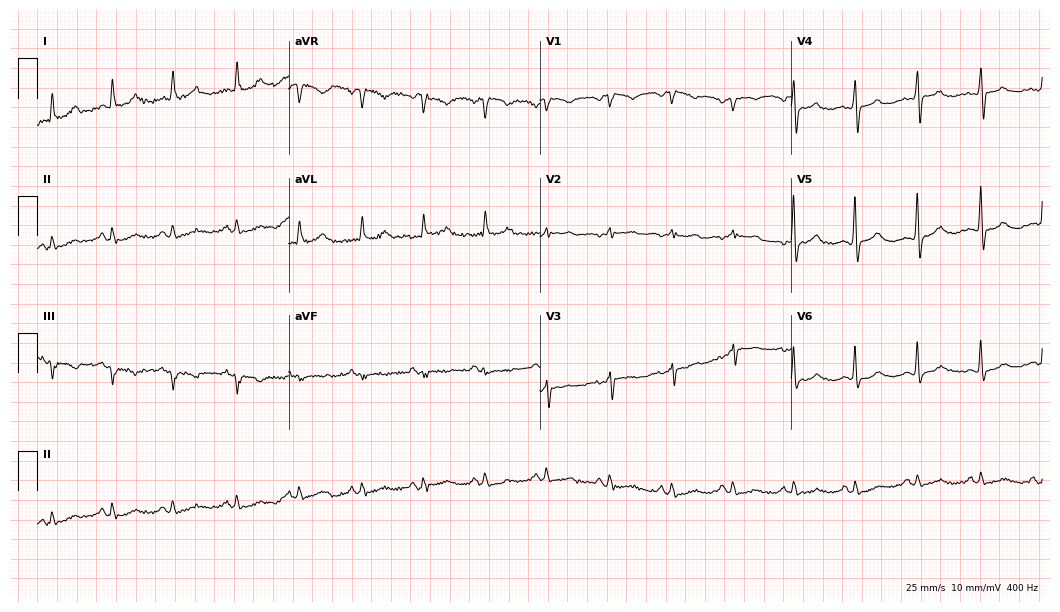
ECG — a 77-year-old female. Screened for six findings — first-degree AV block, right bundle branch block (RBBB), left bundle branch block (LBBB), sinus bradycardia, atrial fibrillation (AF), sinus tachycardia — none is recorded.